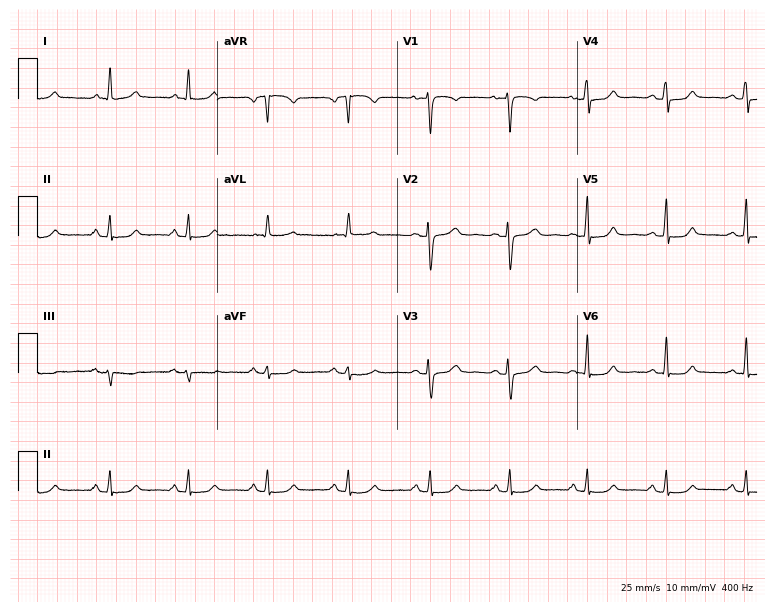
ECG (7.3-second recording at 400 Hz) — a 57-year-old female. Screened for six findings — first-degree AV block, right bundle branch block, left bundle branch block, sinus bradycardia, atrial fibrillation, sinus tachycardia — none is recorded. Only these six findings were labelled.